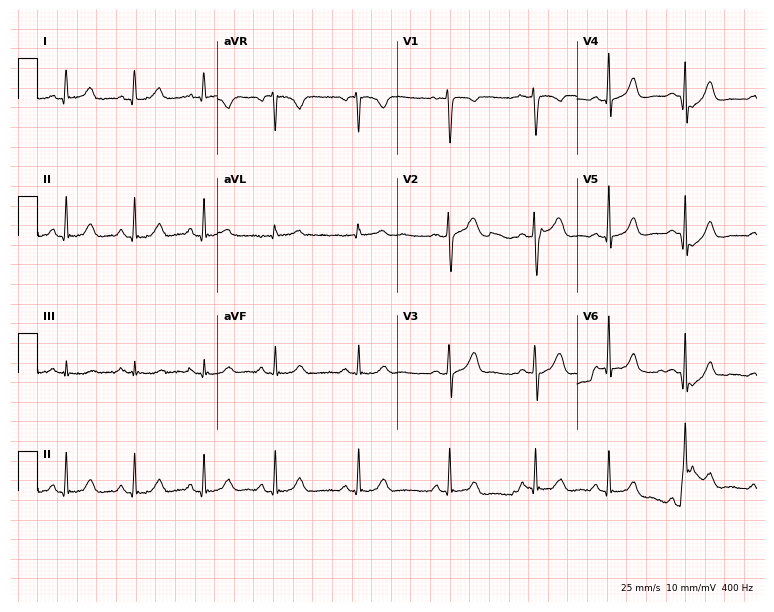
Standard 12-lead ECG recorded from a 28-year-old female patient. Read as a normal ECG.